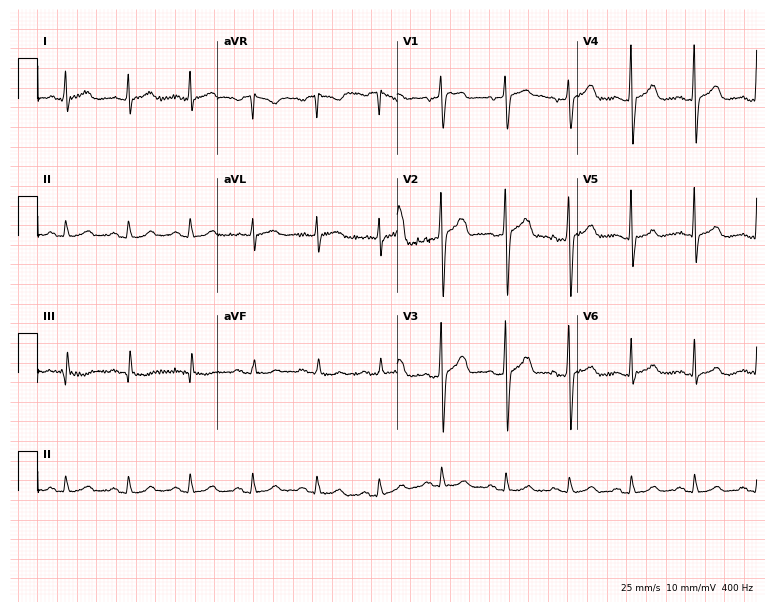
ECG — a 55-year-old male patient. Screened for six findings — first-degree AV block, right bundle branch block, left bundle branch block, sinus bradycardia, atrial fibrillation, sinus tachycardia — none is recorded. Findings outside these six are not listed.